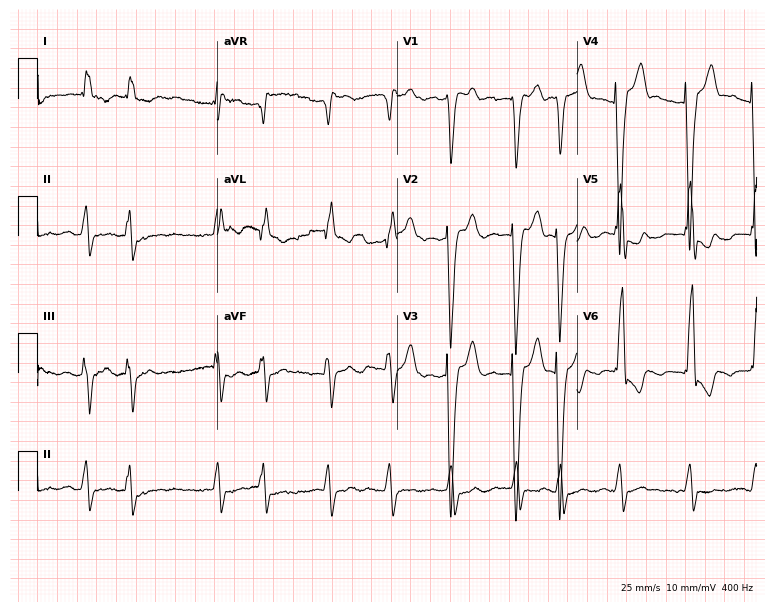
ECG (7.3-second recording at 400 Hz) — a 69-year-old woman. Findings include left bundle branch block (LBBB), atrial fibrillation (AF).